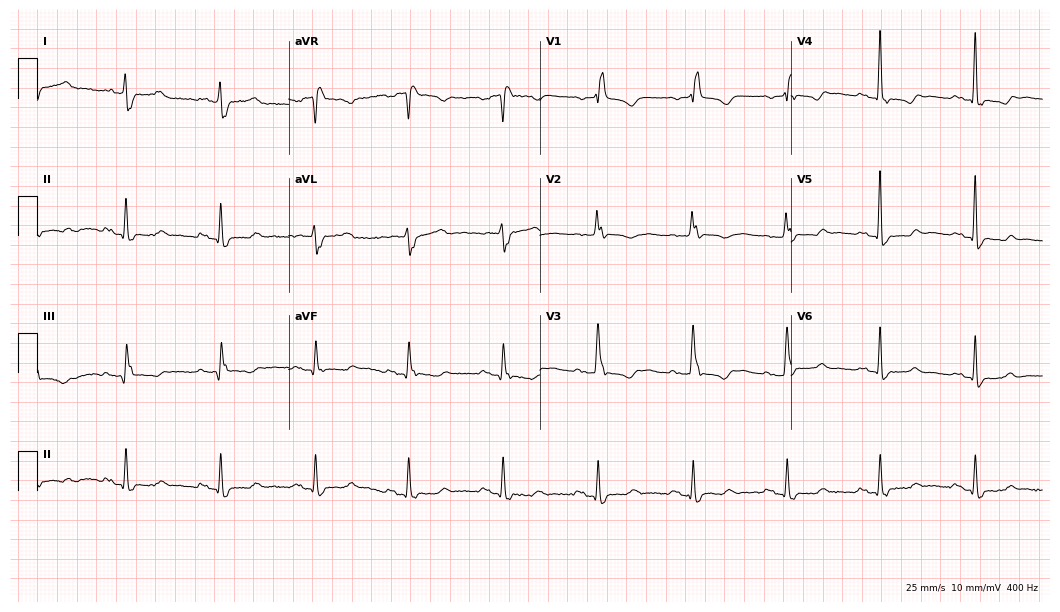
ECG — a male patient, 73 years old. Findings include right bundle branch block (RBBB).